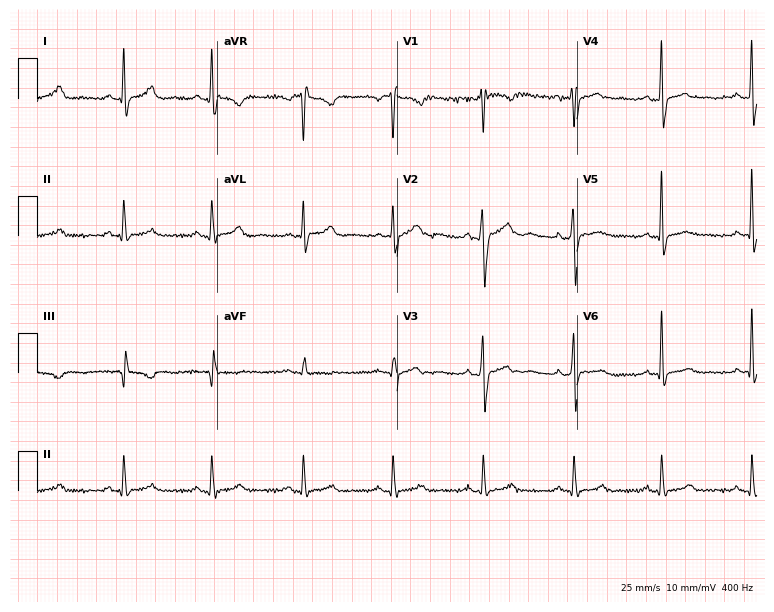
ECG (7.3-second recording at 400 Hz) — a 30-year-old man. Screened for six findings — first-degree AV block, right bundle branch block (RBBB), left bundle branch block (LBBB), sinus bradycardia, atrial fibrillation (AF), sinus tachycardia — none is recorded.